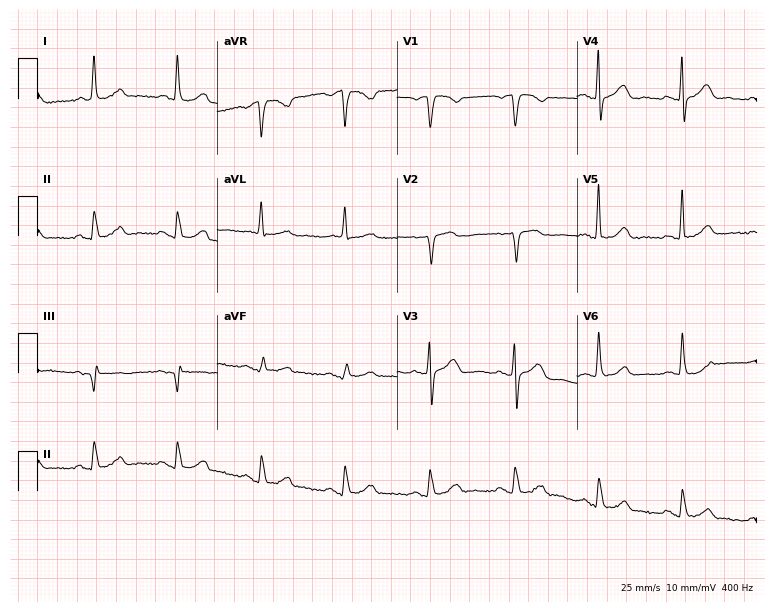
Resting 12-lead electrocardiogram. Patient: a 75-year-old female. None of these six findings is recorded: first-degree AV block, right bundle branch block (RBBB), left bundle branch block (LBBB), sinus bradycardia, atrial fibrillation (AF), sinus tachycardia. Only these six findings were labelled.